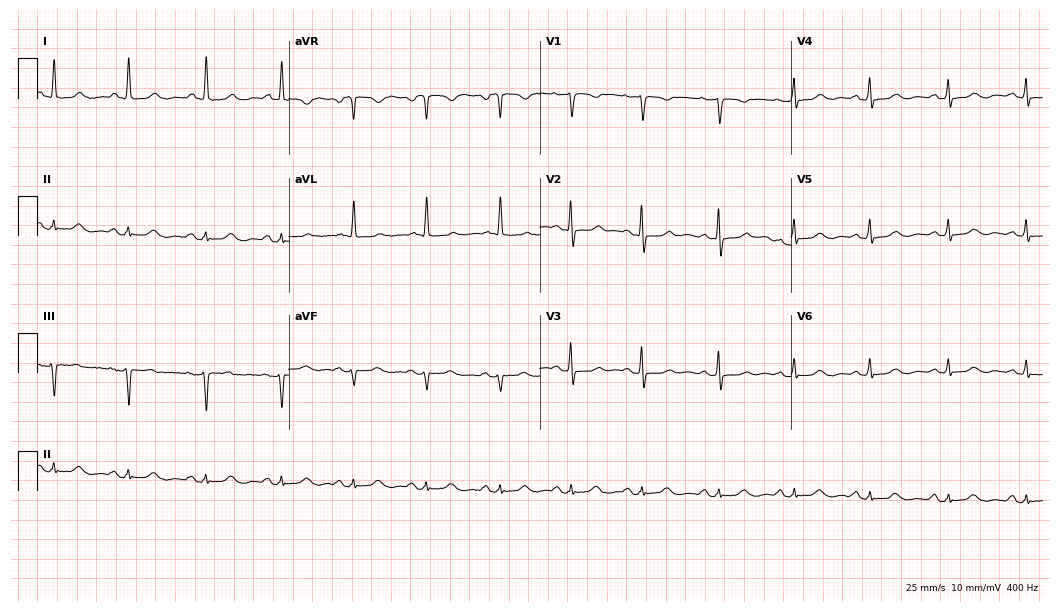
12-lead ECG from a 75-year-old female patient. Recorded interpretation: within normal limits.